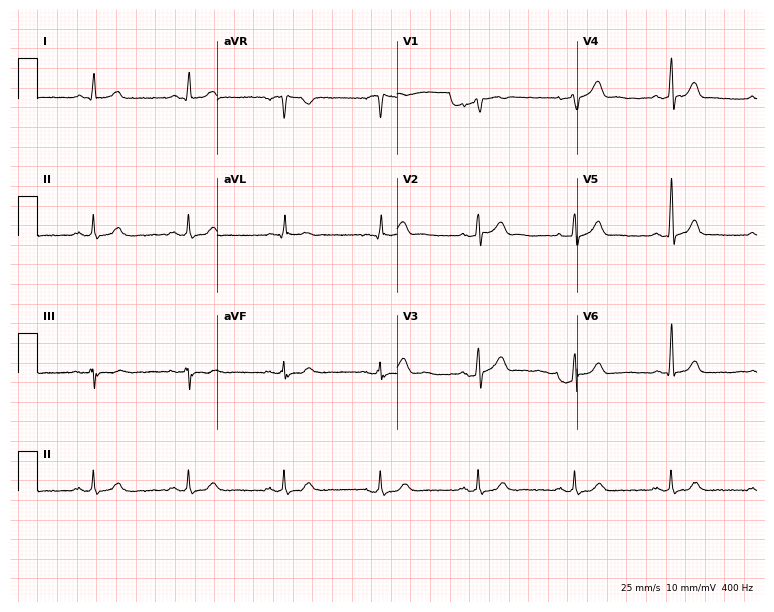
12-lead ECG from a man, 59 years old. Labelled as a normal ECG.